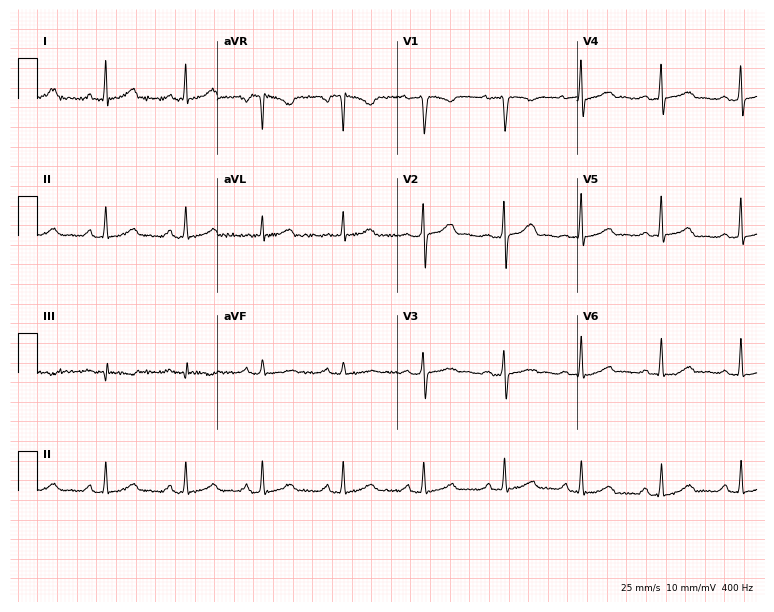
Electrocardiogram, a female patient, 37 years old. Overall reading on record: normal ECG.